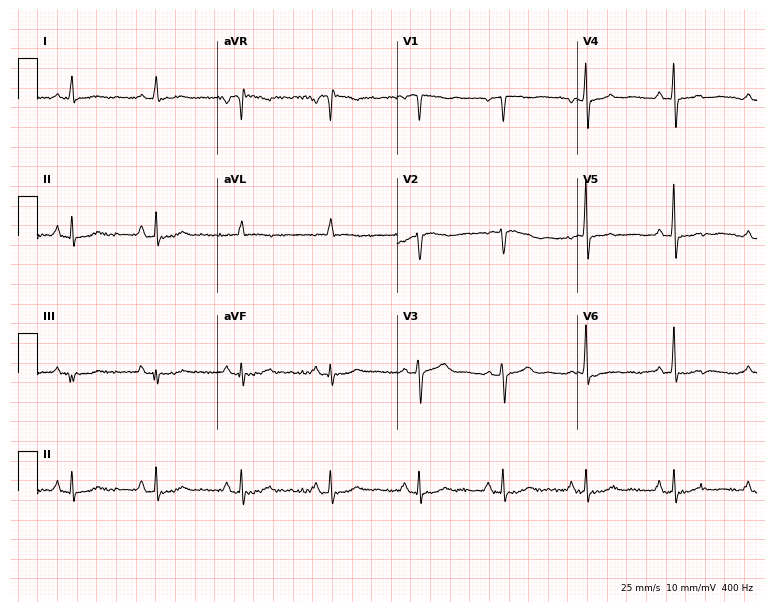
Resting 12-lead electrocardiogram. Patient: a female, 55 years old. None of these six findings is recorded: first-degree AV block, right bundle branch block (RBBB), left bundle branch block (LBBB), sinus bradycardia, atrial fibrillation (AF), sinus tachycardia. Other findings, if any, are not listed.